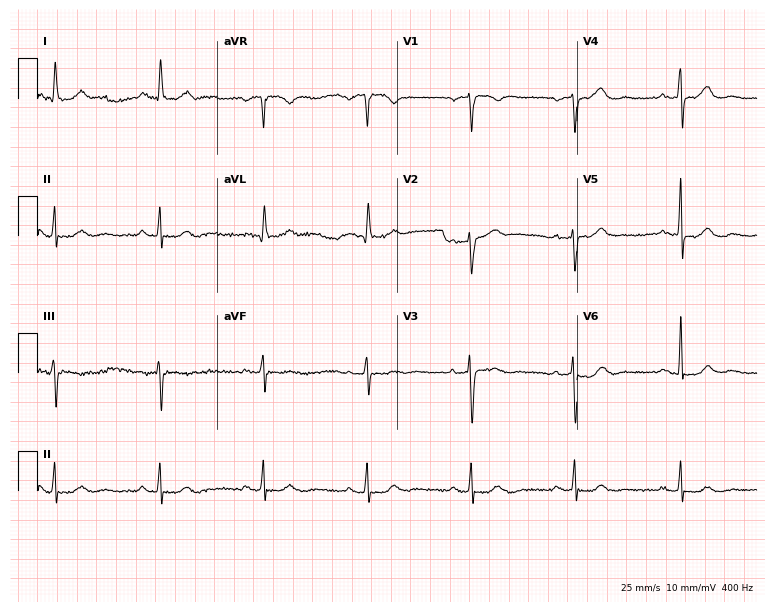
12-lead ECG from a 56-year-old female. Labelled as a normal ECG.